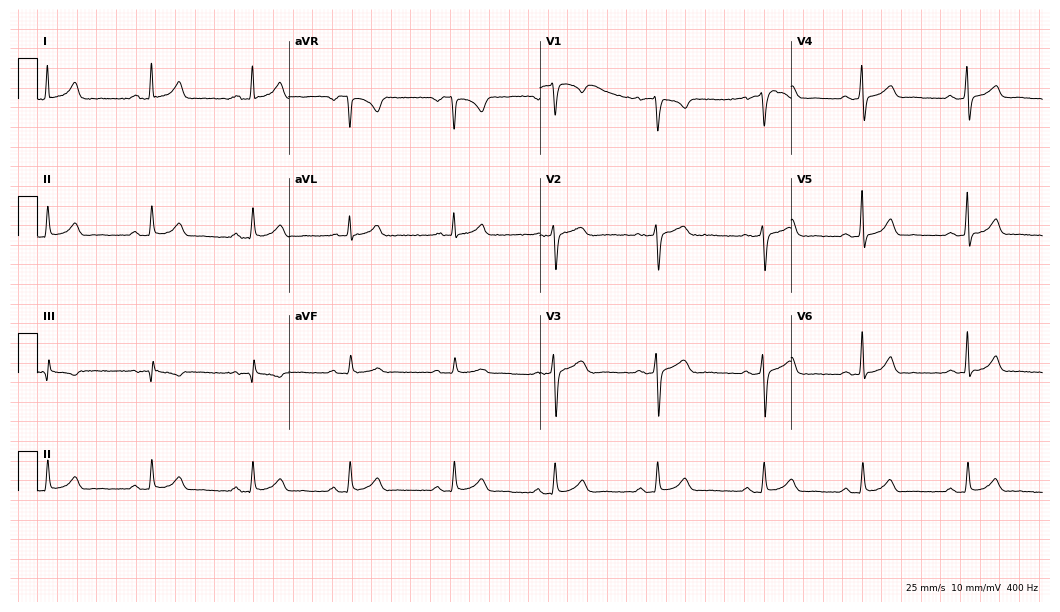
Standard 12-lead ECG recorded from a female, 42 years old. None of these six findings is recorded: first-degree AV block, right bundle branch block, left bundle branch block, sinus bradycardia, atrial fibrillation, sinus tachycardia. Only these six findings were labelled.